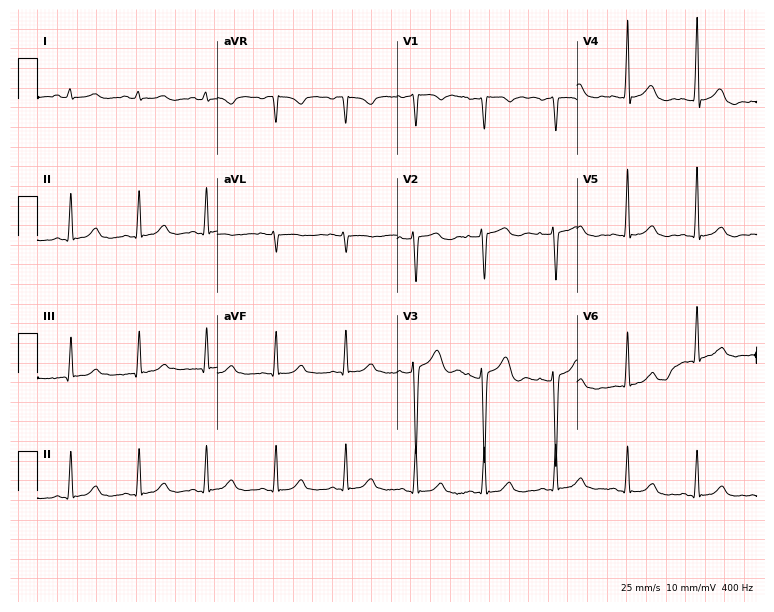
Electrocardiogram, a female, 34 years old. Of the six screened findings (first-degree AV block, right bundle branch block (RBBB), left bundle branch block (LBBB), sinus bradycardia, atrial fibrillation (AF), sinus tachycardia), none is recorded. Only these six findings were labelled.